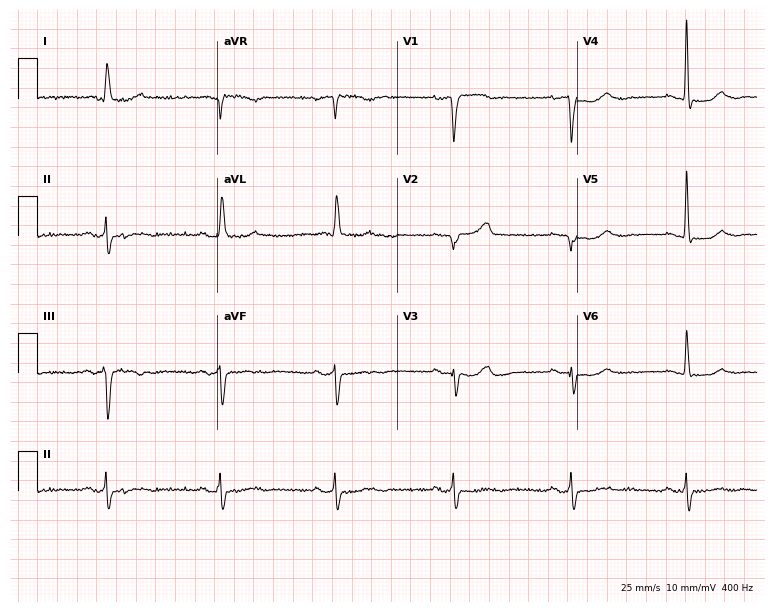
Standard 12-lead ECG recorded from an 85-year-old woman (7.3-second recording at 400 Hz). The tracing shows sinus bradycardia (a sinus rate of 50 beats per minute or less).